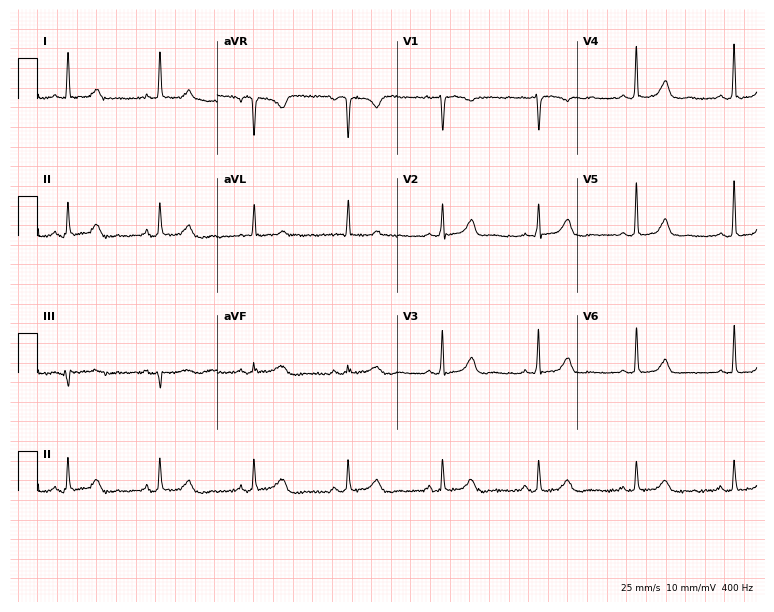
Electrocardiogram (7.3-second recording at 400 Hz), a 65-year-old female patient. Overall reading on record: normal ECG.